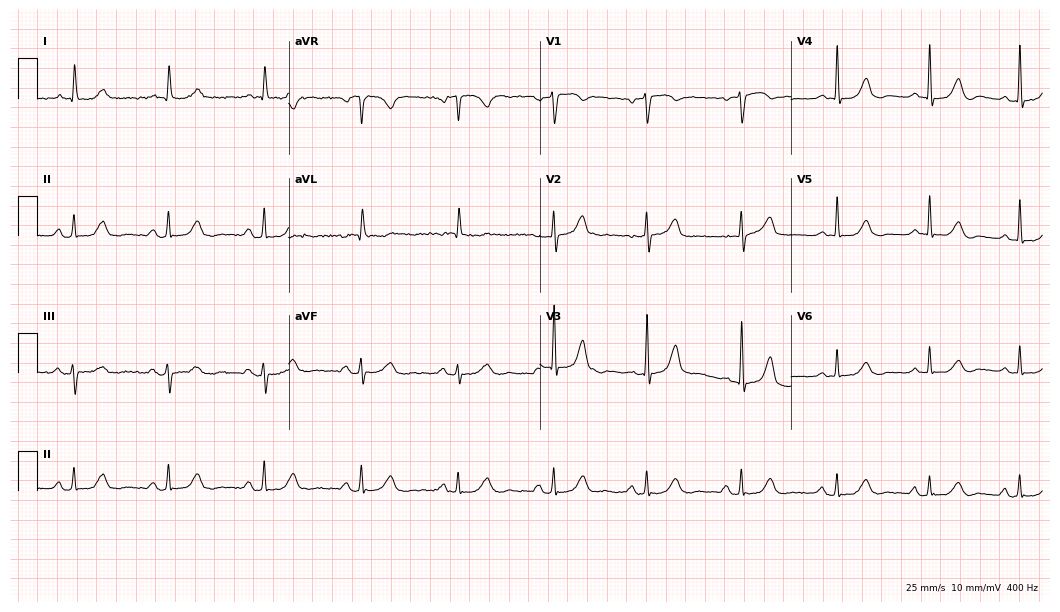
Standard 12-lead ECG recorded from a female, 72 years old (10.2-second recording at 400 Hz). Read as a normal ECG.